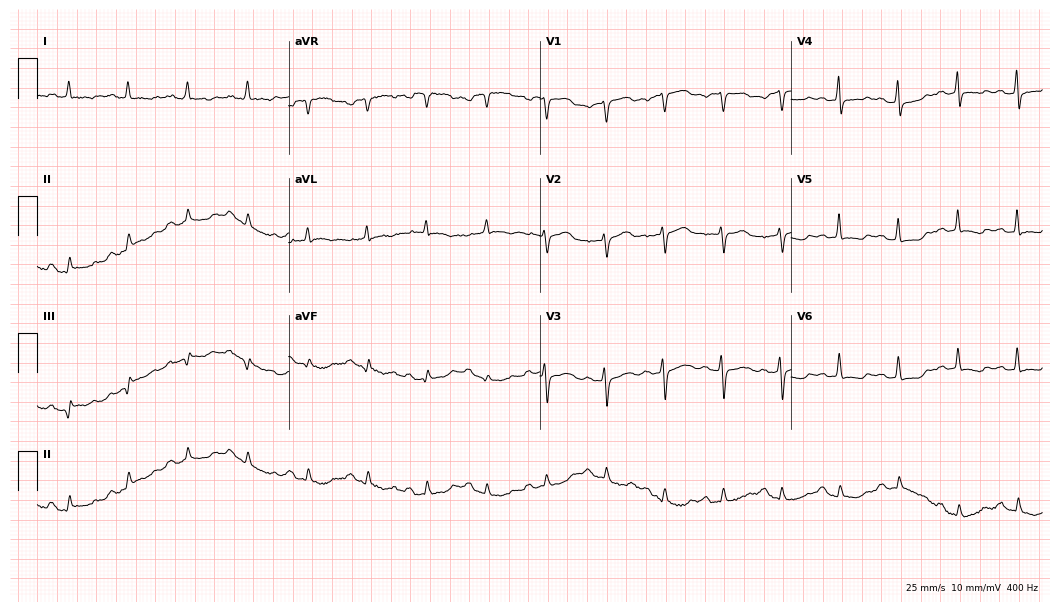
Resting 12-lead electrocardiogram (10.2-second recording at 400 Hz). Patient: a 56-year-old female. None of these six findings is recorded: first-degree AV block, right bundle branch block, left bundle branch block, sinus bradycardia, atrial fibrillation, sinus tachycardia. Only these six findings were labelled.